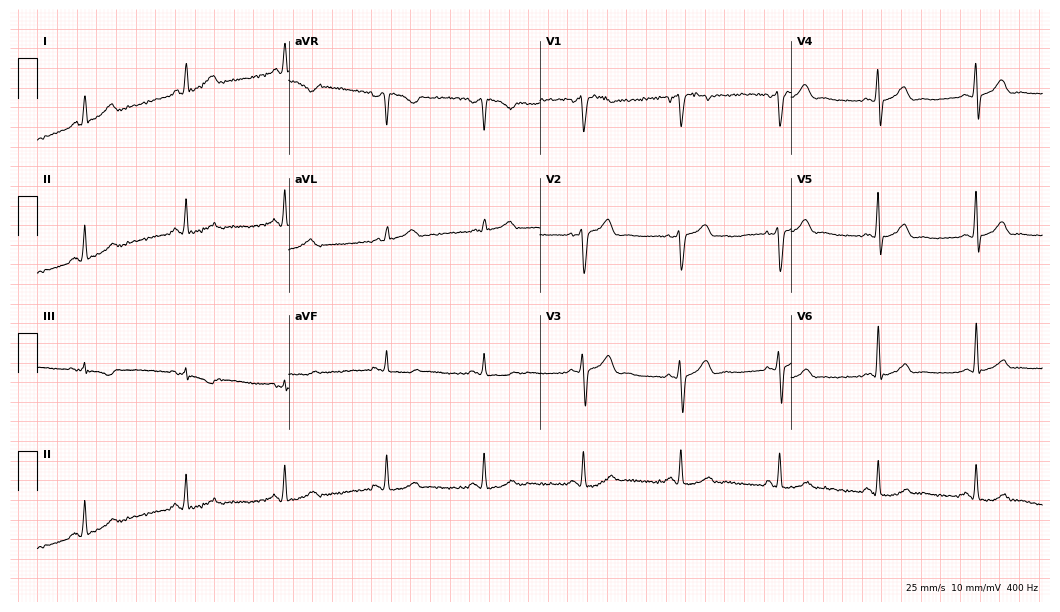
12-lead ECG from a male patient, 48 years old. Labelled as a normal ECG.